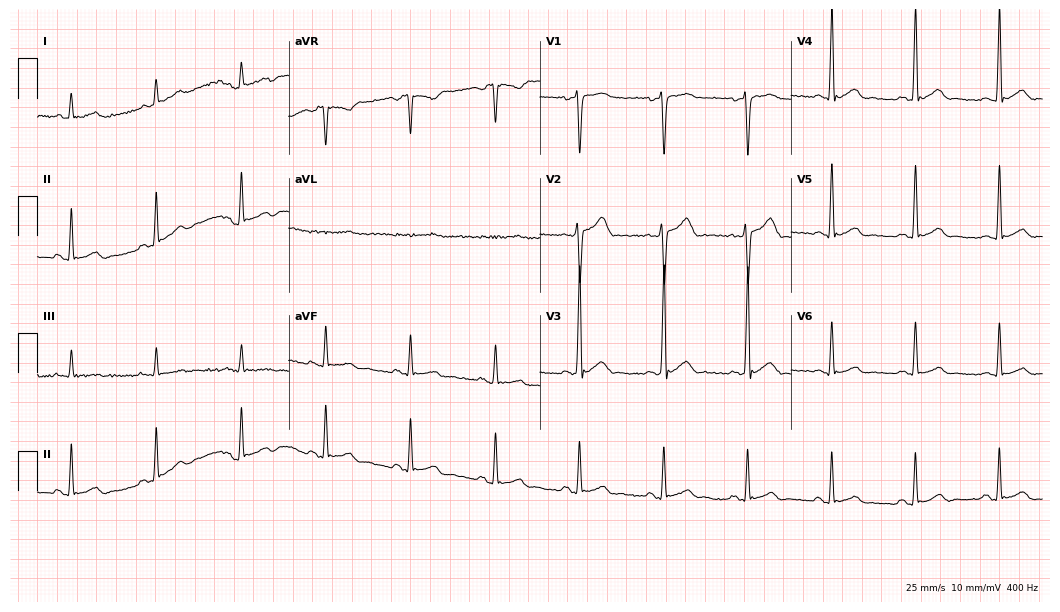
Standard 12-lead ECG recorded from a man, 37 years old (10.2-second recording at 400 Hz). Read as a normal ECG.